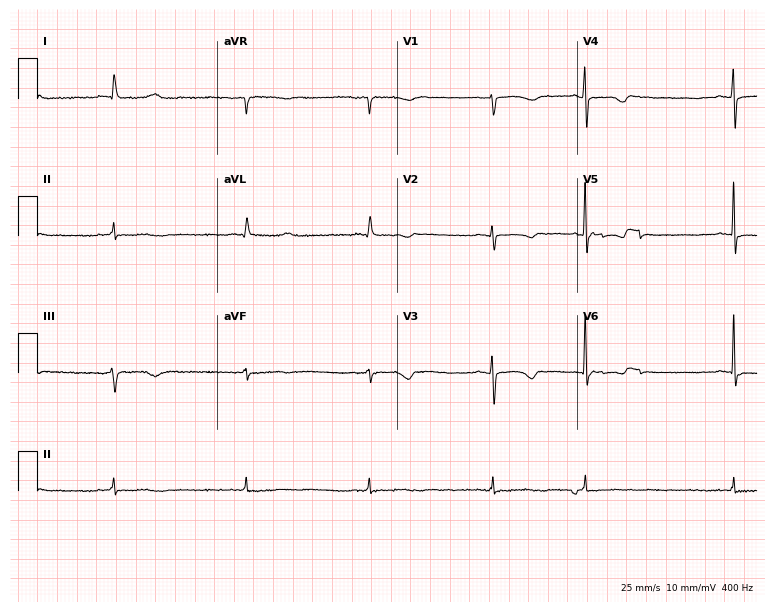
Resting 12-lead electrocardiogram. Patient: a female, 71 years old. None of these six findings is recorded: first-degree AV block, right bundle branch block, left bundle branch block, sinus bradycardia, atrial fibrillation, sinus tachycardia.